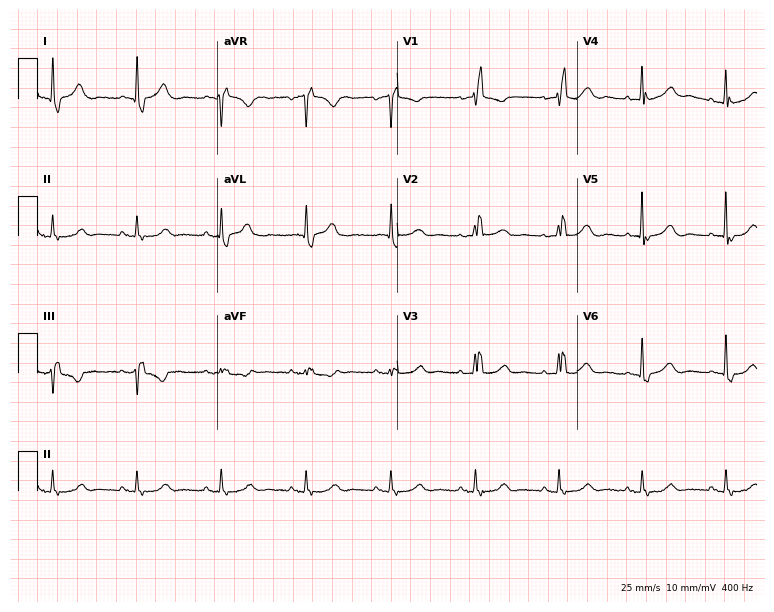
Resting 12-lead electrocardiogram (7.3-second recording at 400 Hz). Patient: a female, 88 years old. None of these six findings is recorded: first-degree AV block, right bundle branch block (RBBB), left bundle branch block (LBBB), sinus bradycardia, atrial fibrillation (AF), sinus tachycardia. Only these six findings were labelled.